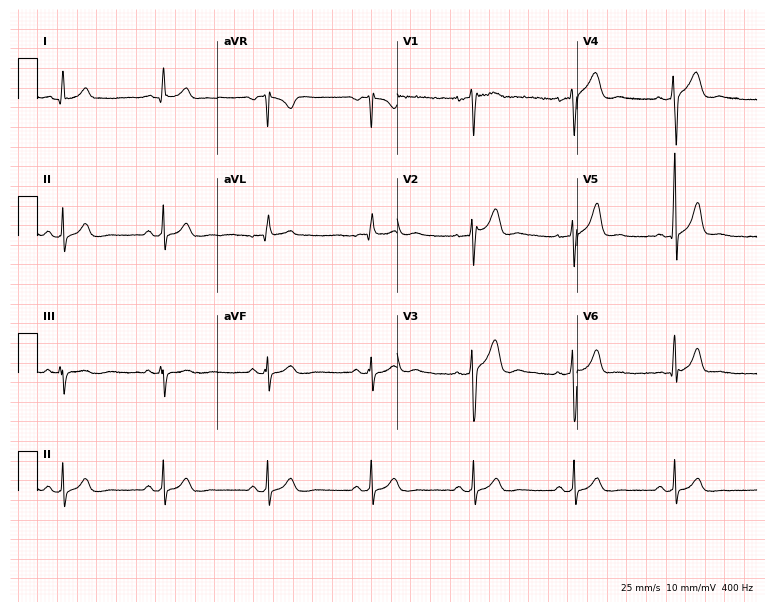
Standard 12-lead ECG recorded from a male patient, 34 years old. Read as a normal ECG.